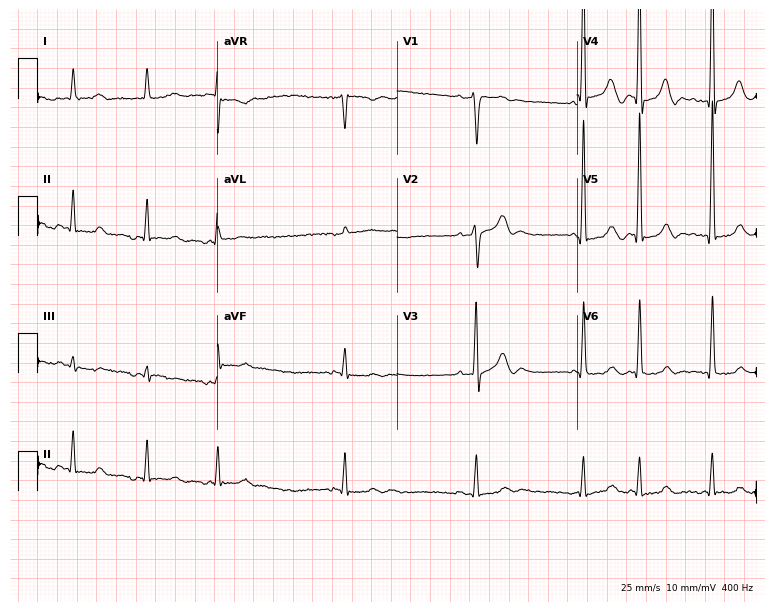
12-lead ECG from a 74-year-old male (7.3-second recording at 400 Hz). No first-degree AV block, right bundle branch block, left bundle branch block, sinus bradycardia, atrial fibrillation or sinus tachycardia recorded for this tracing. Other findings, if any, are not listed.